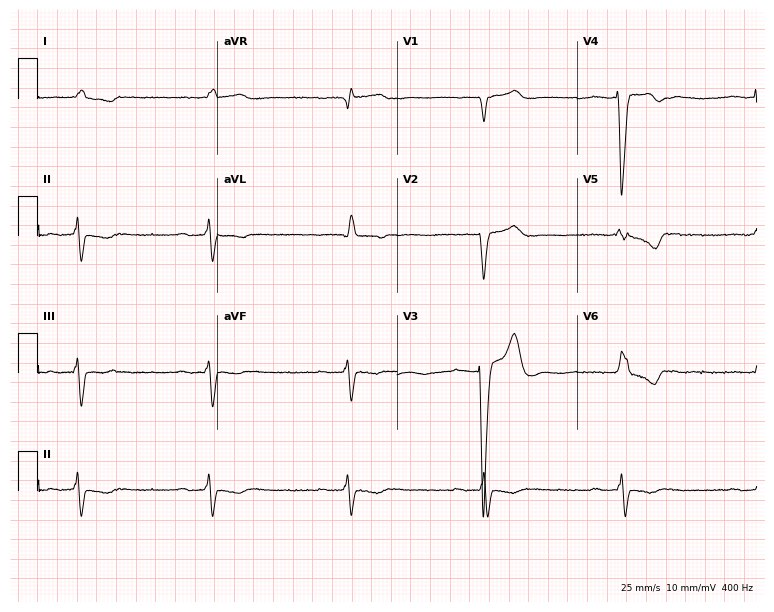
12-lead ECG (7.3-second recording at 400 Hz) from a man, 84 years old. Findings include first-degree AV block, left bundle branch block, sinus bradycardia (a sinus rate of 50 beats per minute or less).